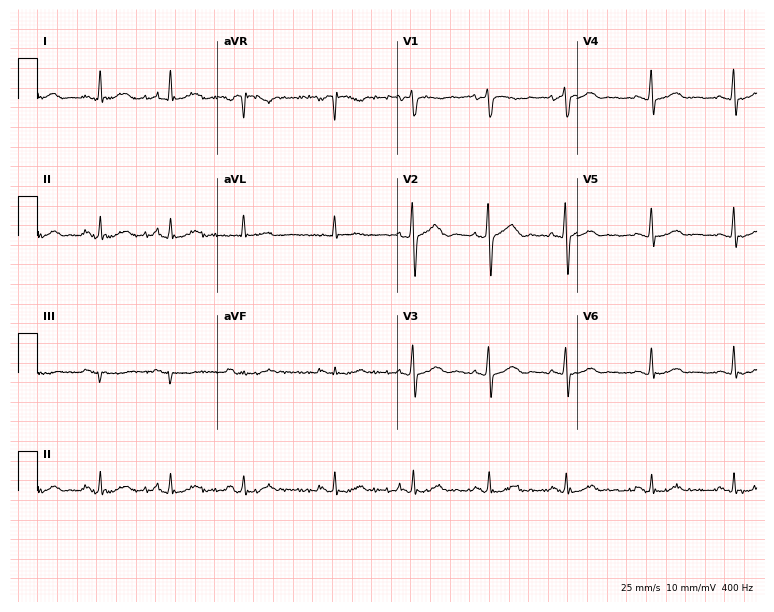
Electrocardiogram, a male patient, 58 years old. Overall reading on record: normal ECG.